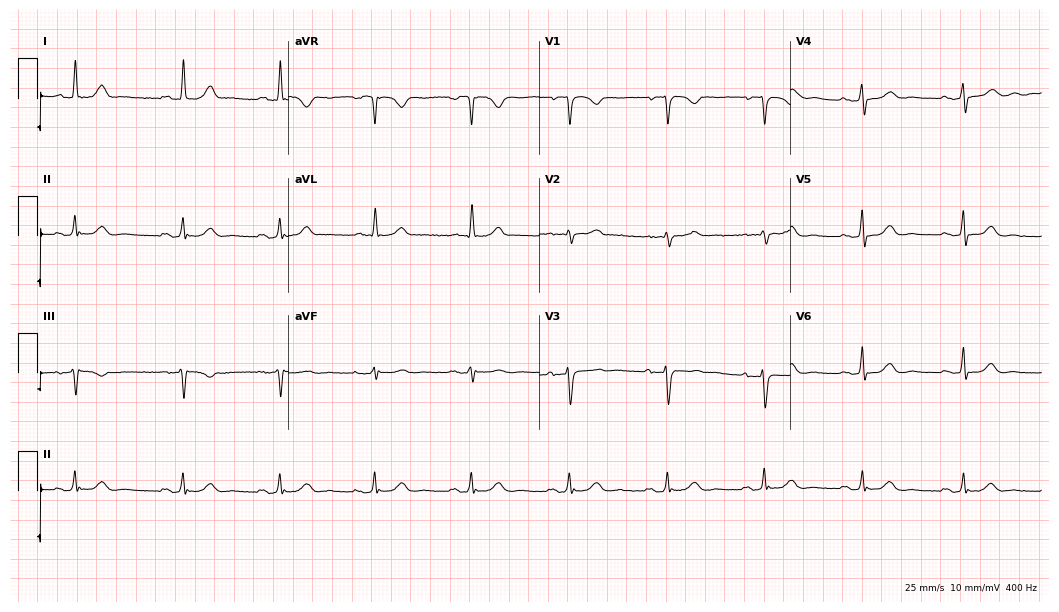
Resting 12-lead electrocardiogram. Patient: a 65-year-old female. Read as a normal ECG.